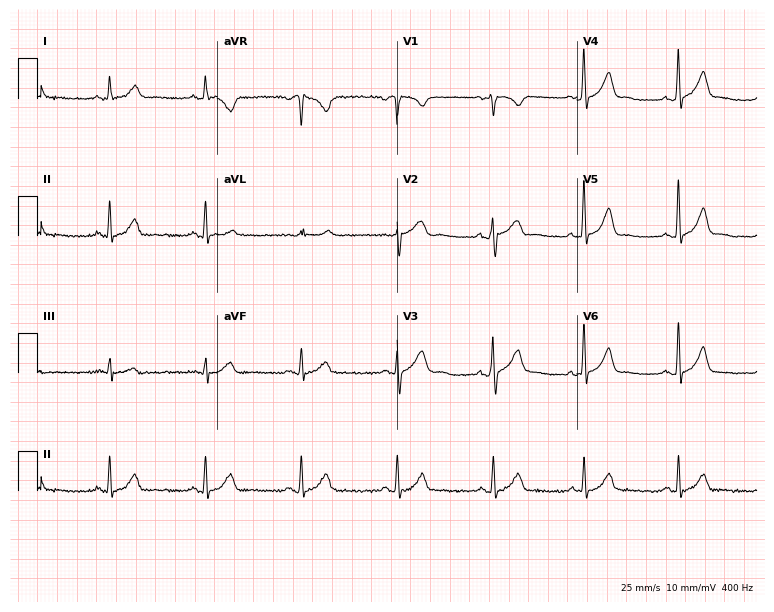
Standard 12-lead ECG recorded from a man, 35 years old (7.3-second recording at 400 Hz). Read as a normal ECG.